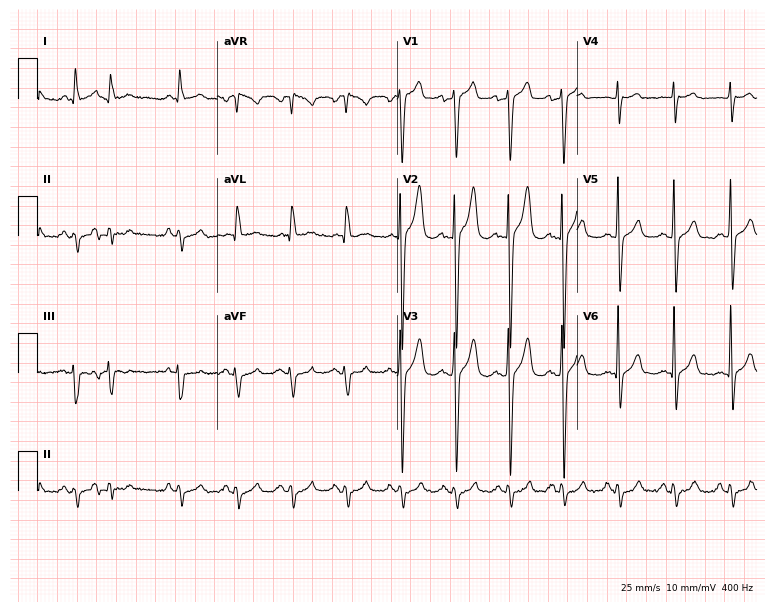
ECG — a male patient, 52 years old. Findings include sinus tachycardia (a sinus rate of 100 beats per minute or more).